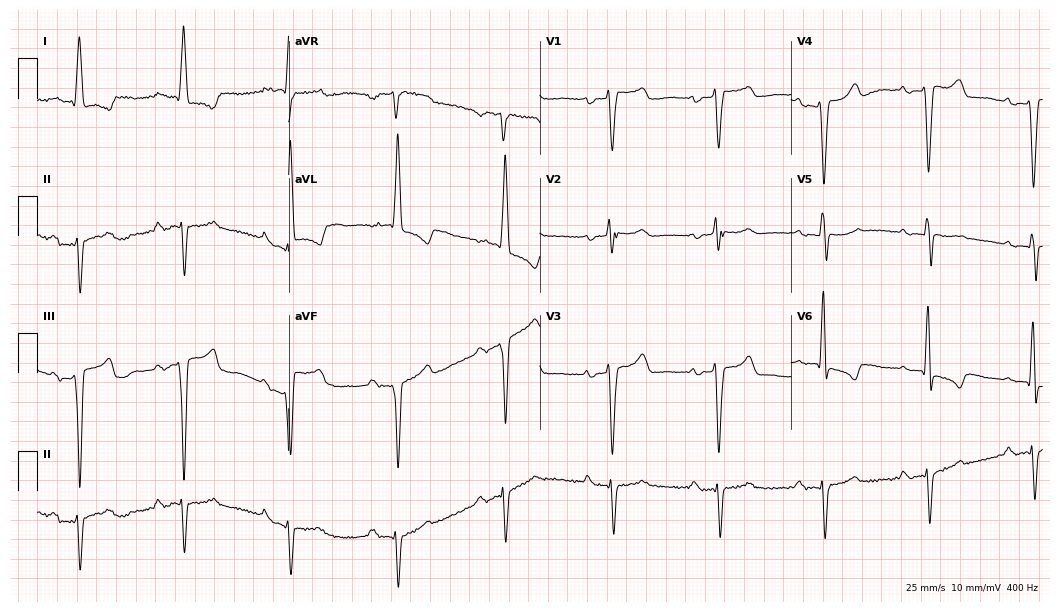
ECG — a 68-year-old female. Screened for six findings — first-degree AV block, right bundle branch block (RBBB), left bundle branch block (LBBB), sinus bradycardia, atrial fibrillation (AF), sinus tachycardia — none is recorded.